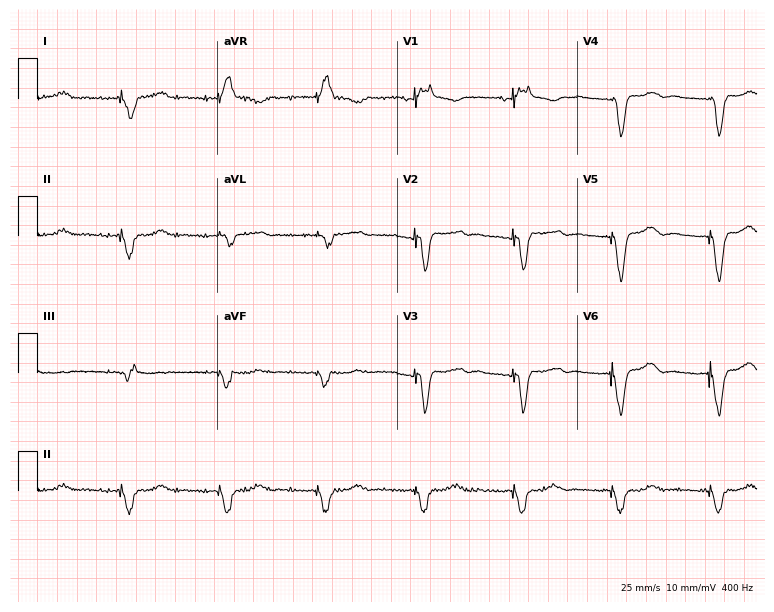
Standard 12-lead ECG recorded from a 73-year-old male patient (7.3-second recording at 400 Hz). None of these six findings is recorded: first-degree AV block, right bundle branch block (RBBB), left bundle branch block (LBBB), sinus bradycardia, atrial fibrillation (AF), sinus tachycardia.